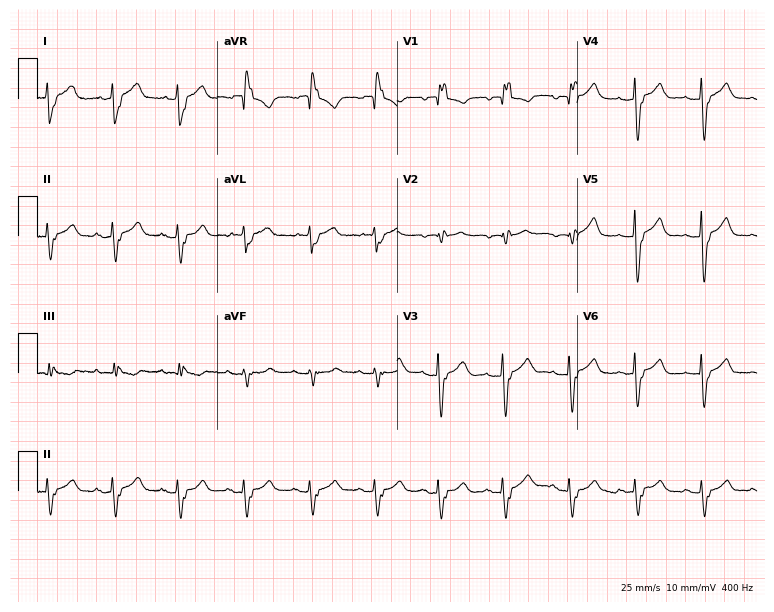
12-lead ECG from an 87-year-old female patient (7.3-second recording at 400 Hz). Shows right bundle branch block.